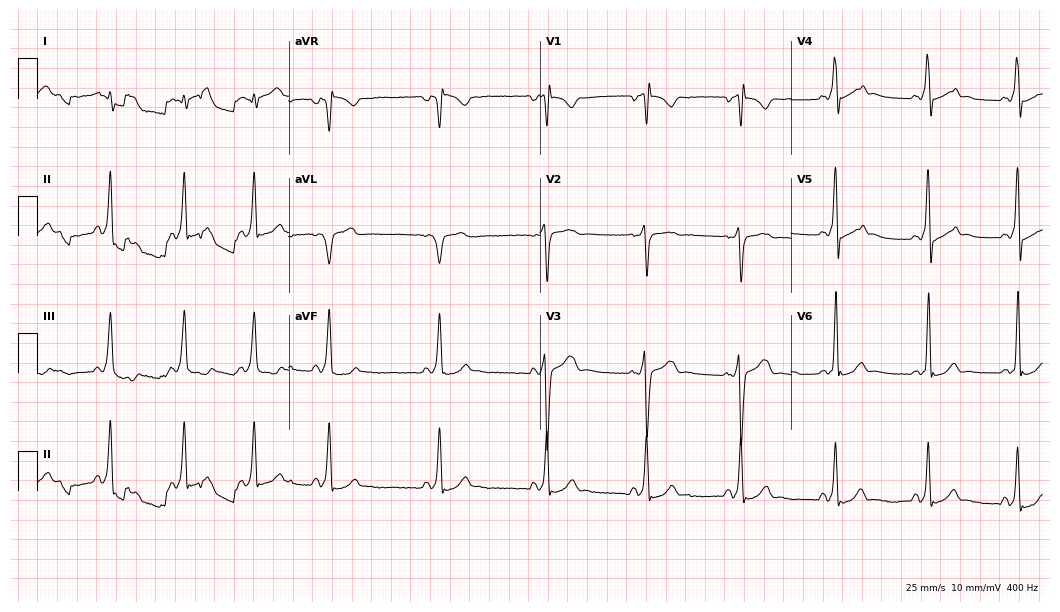
ECG — an 18-year-old man. Screened for six findings — first-degree AV block, right bundle branch block (RBBB), left bundle branch block (LBBB), sinus bradycardia, atrial fibrillation (AF), sinus tachycardia — none is recorded.